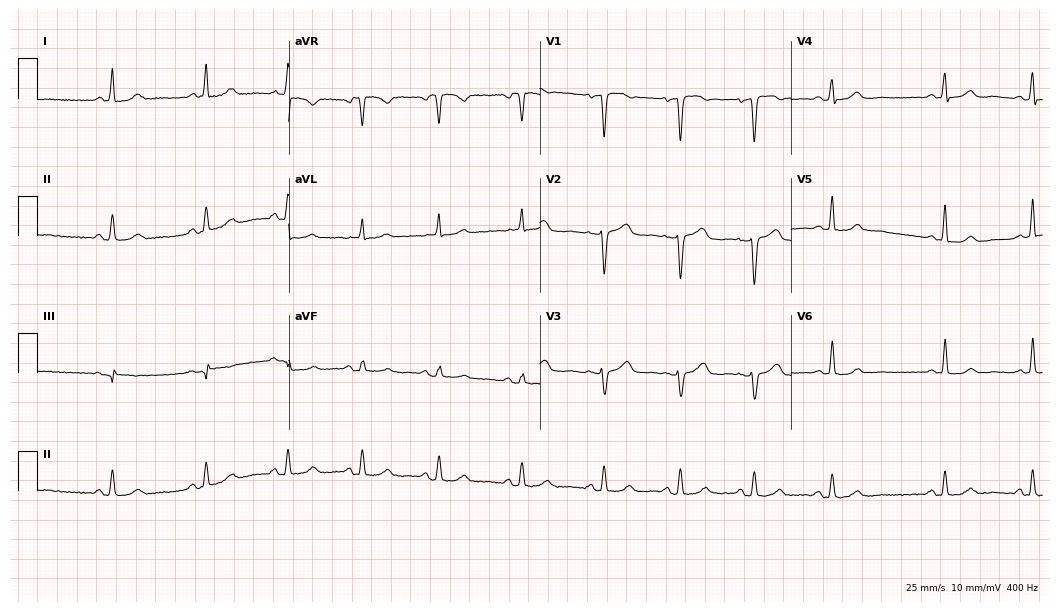
12-lead ECG from a female, 51 years old (10.2-second recording at 400 Hz). No first-degree AV block, right bundle branch block, left bundle branch block, sinus bradycardia, atrial fibrillation or sinus tachycardia recorded for this tracing.